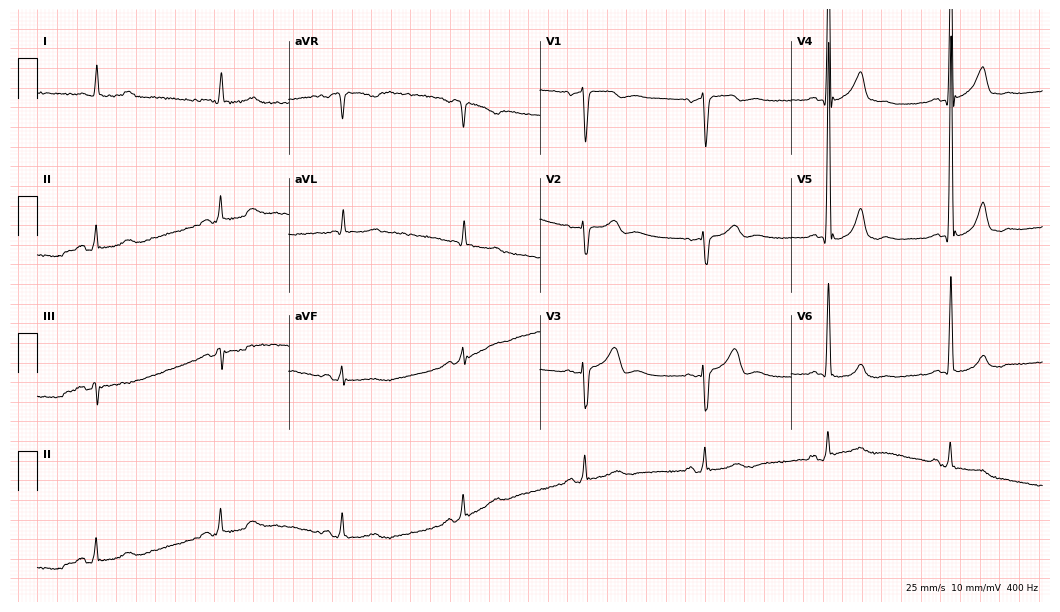
12-lead ECG from an 85-year-old woman. No first-degree AV block, right bundle branch block (RBBB), left bundle branch block (LBBB), sinus bradycardia, atrial fibrillation (AF) or sinus tachycardia recorded for this tracing.